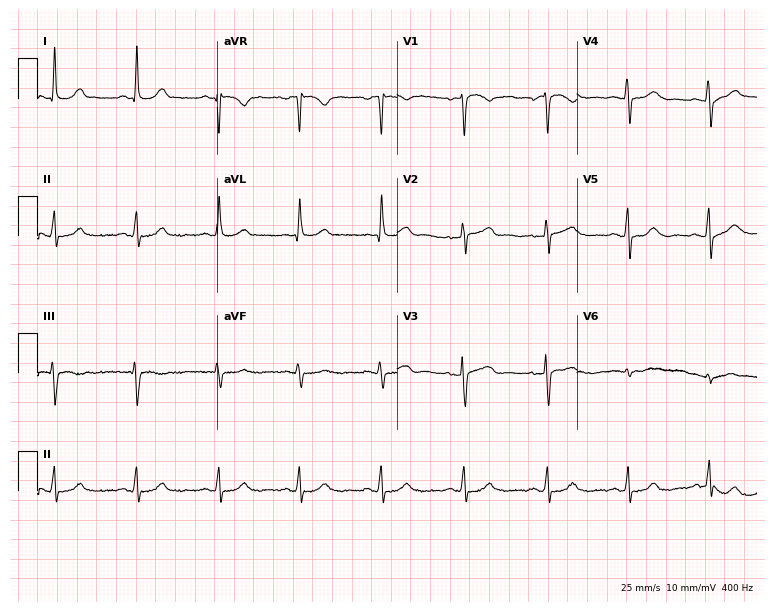
Electrocardiogram (7.3-second recording at 400 Hz), a 61-year-old female patient. Overall reading on record: normal ECG.